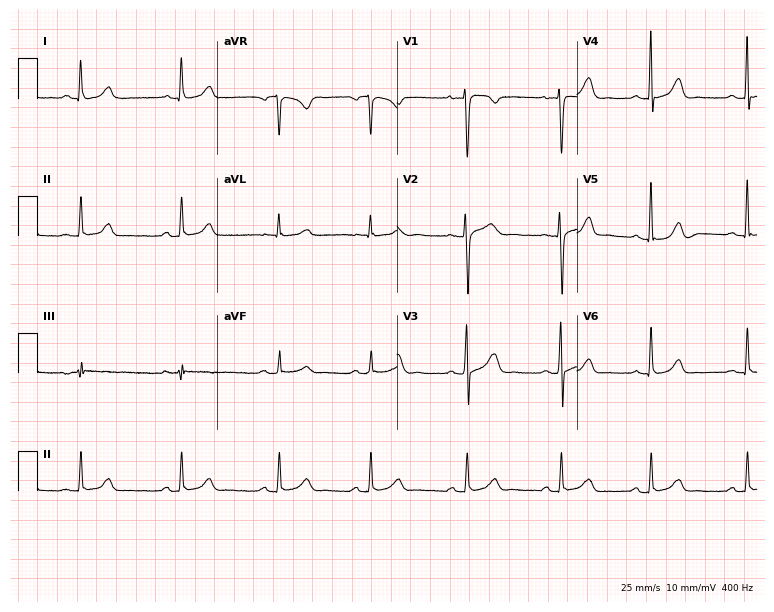
Electrocardiogram, a woman, 37 years old. Overall reading on record: normal ECG.